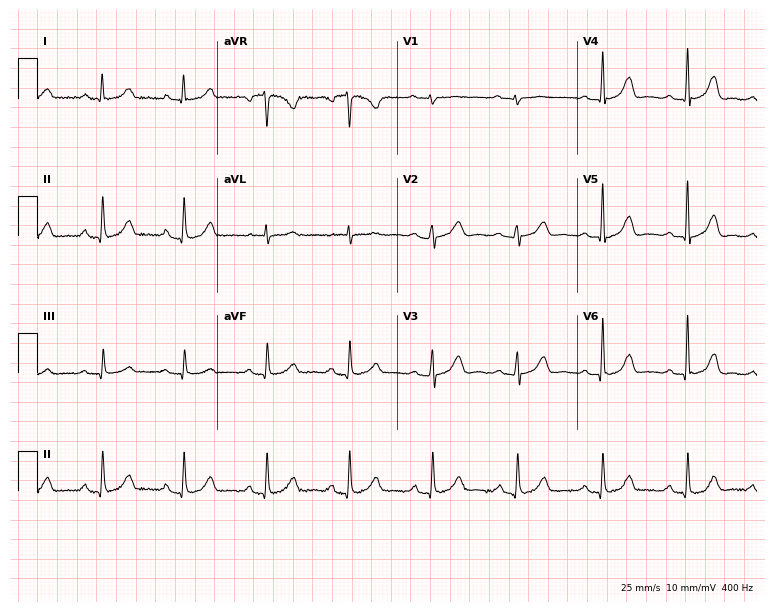
Standard 12-lead ECG recorded from a 55-year-old female. Read as a normal ECG.